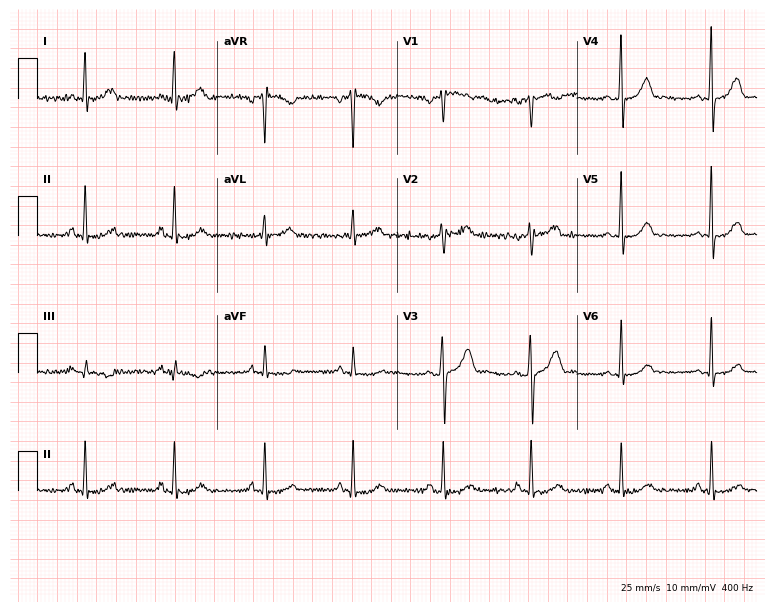
Standard 12-lead ECG recorded from a male patient, 40 years old. Read as a normal ECG.